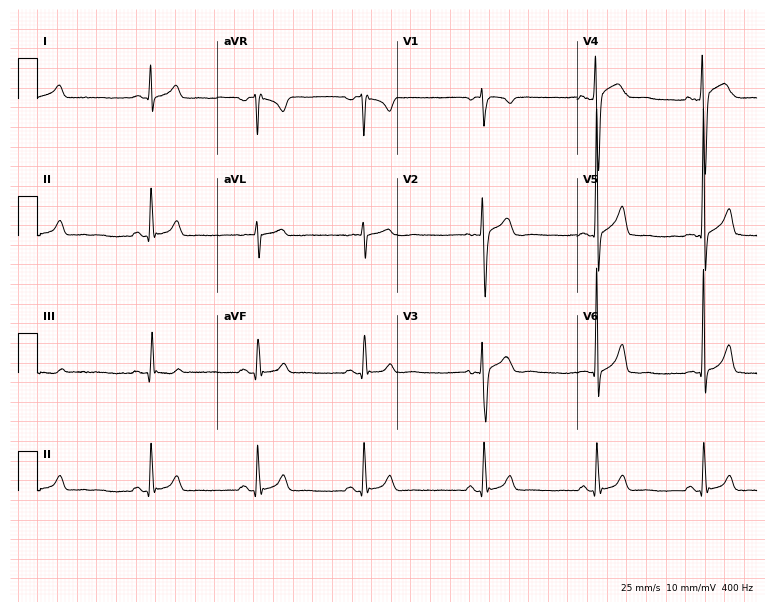
ECG (7.3-second recording at 400 Hz) — a 28-year-old man. Labelled as a normal ECG.